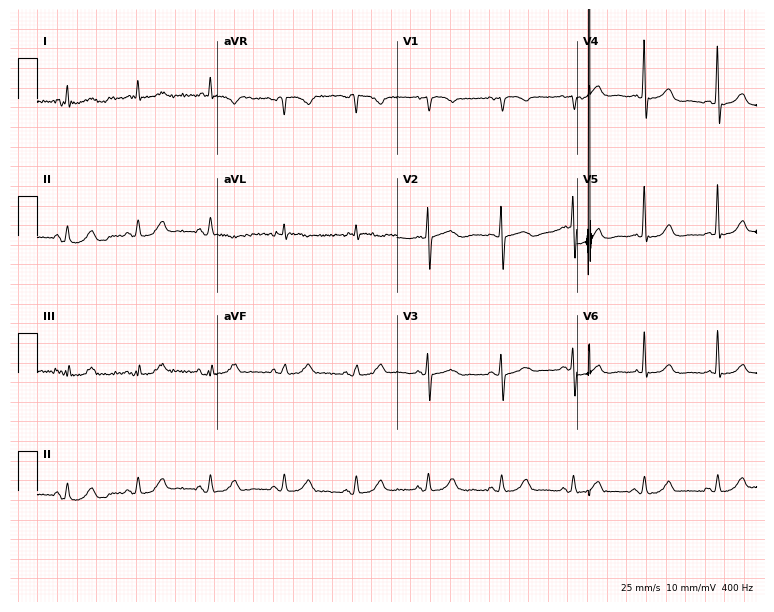
ECG — a woman, 81 years old. Screened for six findings — first-degree AV block, right bundle branch block, left bundle branch block, sinus bradycardia, atrial fibrillation, sinus tachycardia — none is recorded. Only these six findings were labelled.